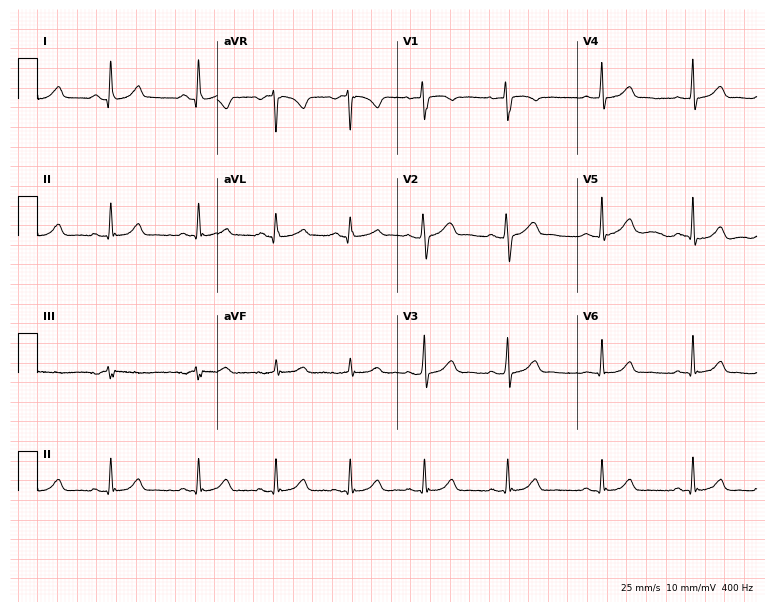
Electrocardiogram (7.3-second recording at 400 Hz), a female, 18 years old. Of the six screened findings (first-degree AV block, right bundle branch block, left bundle branch block, sinus bradycardia, atrial fibrillation, sinus tachycardia), none is recorded. Findings outside these six are not listed.